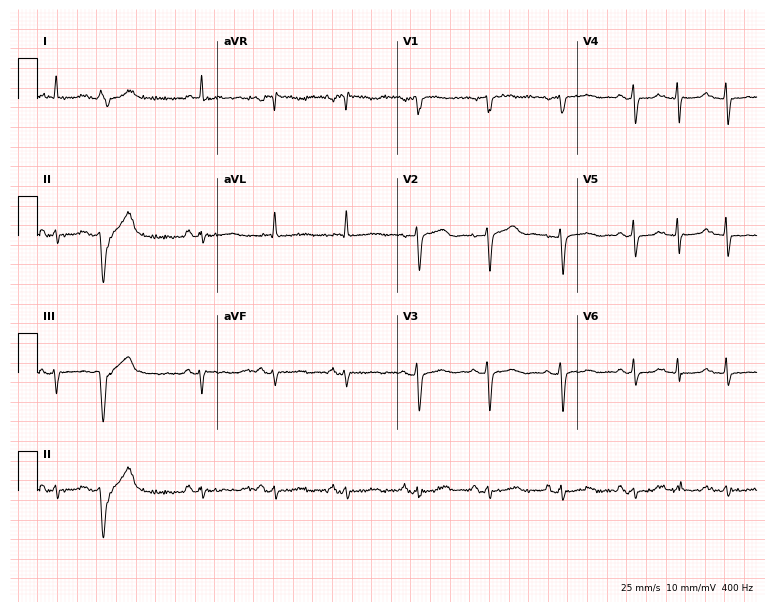
ECG — a woman, 71 years old. Screened for six findings — first-degree AV block, right bundle branch block, left bundle branch block, sinus bradycardia, atrial fibrillation, sinus tachycardia — none is recorded. Other findings, if any, are not listed.